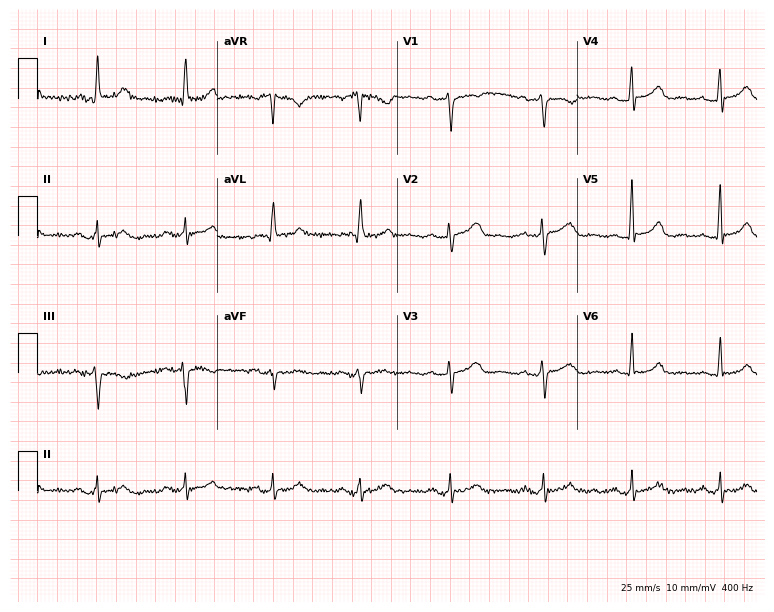
Resting 12-lead electrocardiogram (7.3-second recording at 400 Hz). Patient: an 82-year-old woman. None of these six findings is recorded: first-degree AV block, right bundle branch block, left bundle branch block, sinus bradycardia, atrial fibrillation, sinus tachycardia.